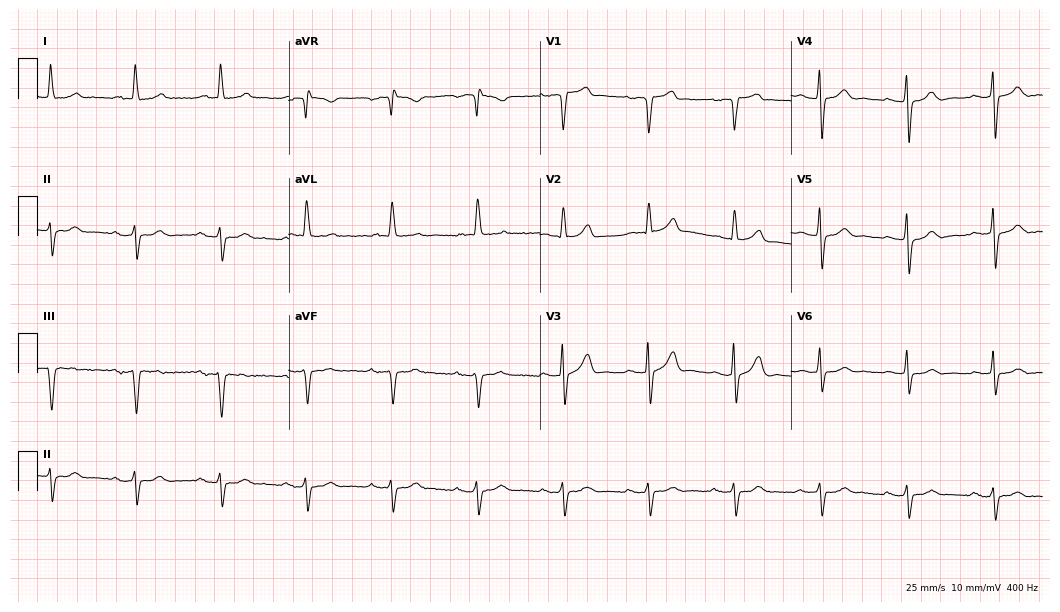
12-lead ECG from a 60-year-old male. Screened for six findings — first-degree AV block, right bundle branch block, left bundle branch block, sinus bradycardia, atrial fibrillation, sinus tachycardia — none is recorded. Other findings, if any, are not listed.